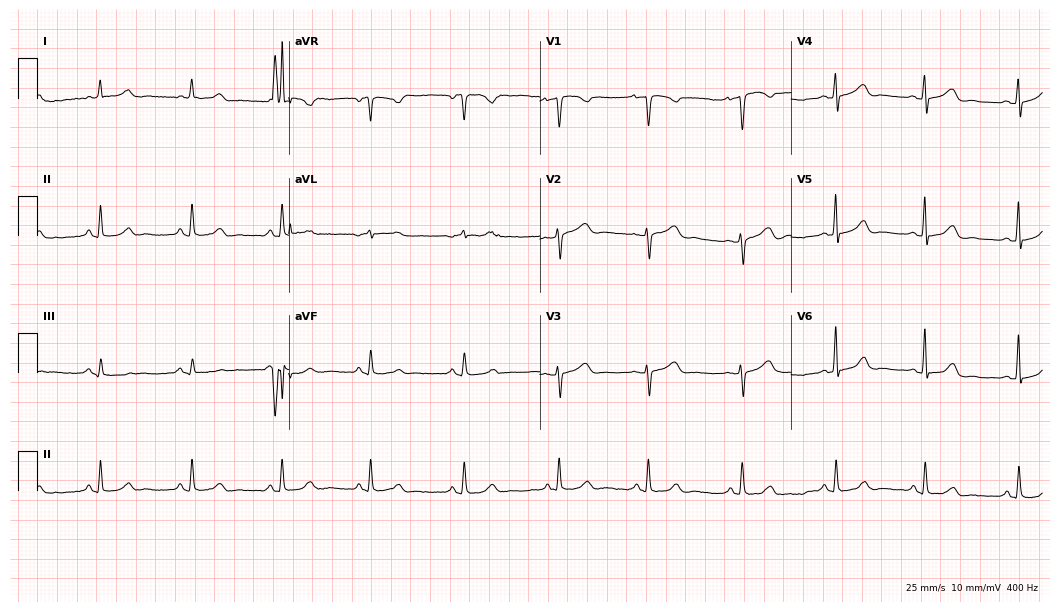
Electrocardiogram (10.2-second recording at 400 Hz), a woman, 47 years old. Overall reading on record: normal ECG.